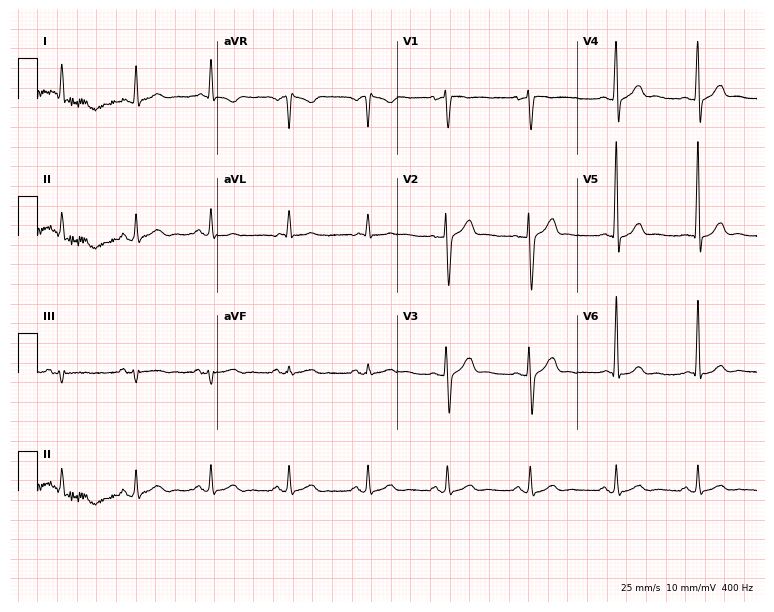
12-lead ECG from a male patient, 35 years old. Screened for six findings — first-degree AV block, right bundle branch block, left bundle branch block, sinus bradycardia, atrial fibrillation, sinus tachycardia — none is recorded. Other findings, if any, are not listed.